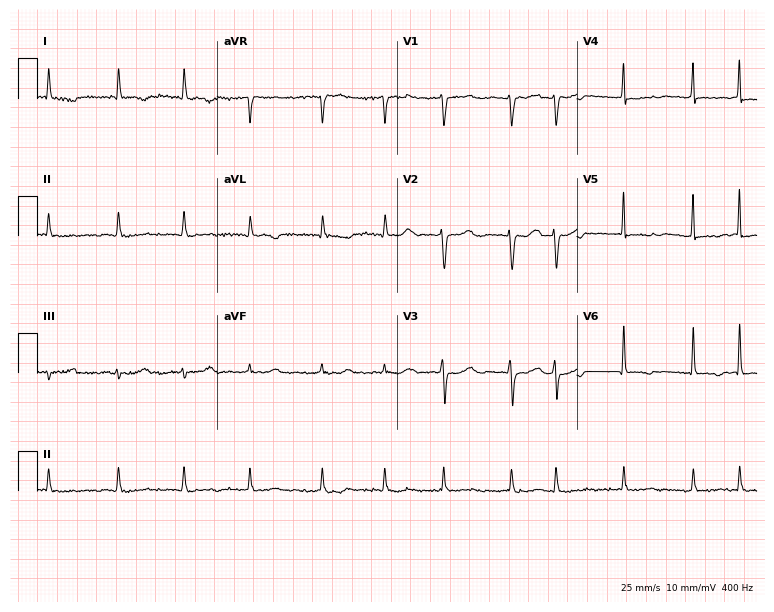
12-lead ECG from a female patient, 81 years old (7.3-second recording at 400 Hz). Shows atrial fibrillation (AF).